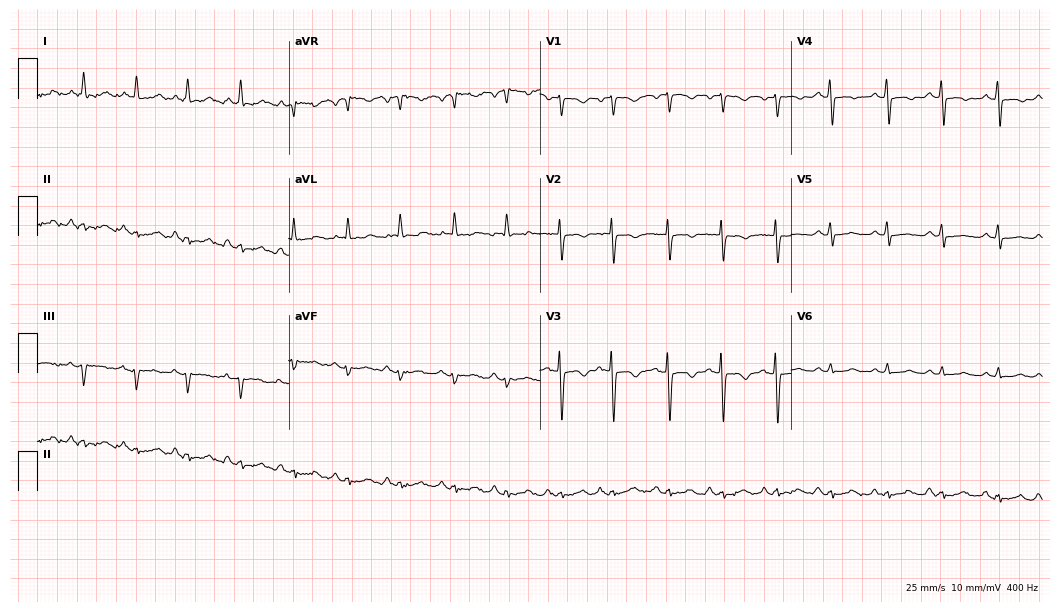
12-lead ECG from a female patient, 59 years old. Shows sinus tachycardia (a sinus rate of 100 beats per minute or more).